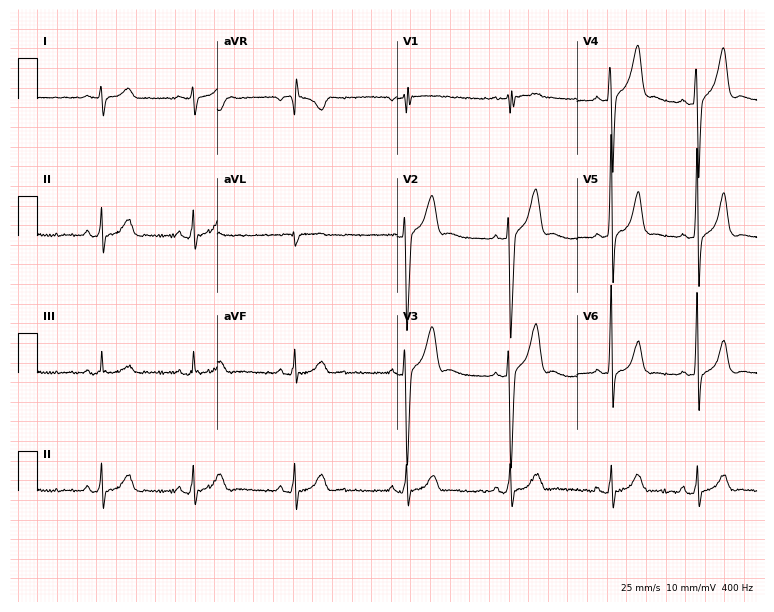
Electrocardiogram (7.3-second recording at 400 Hz), a 20-year-old male. Overall reading on record: normal ECG.